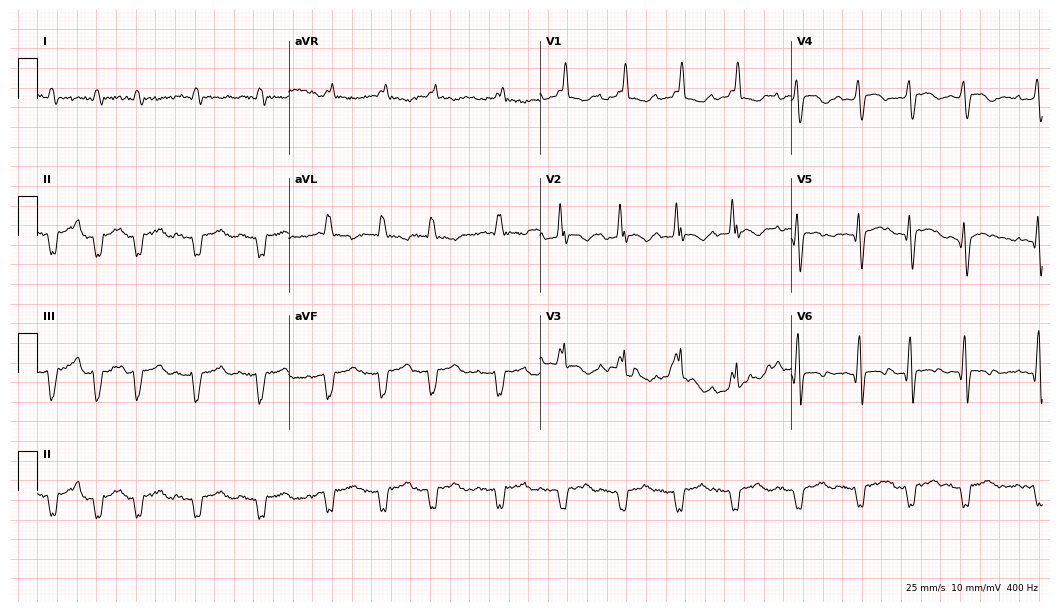
Resting 12-lead electrocardiogram. Patient: a male, 72 years old. None of these six findings is recorded: first-degree AV block, right bundle branch block, left bundle branch block, sinus bradycardia, atrial fibrillation, sinus tachycardia.